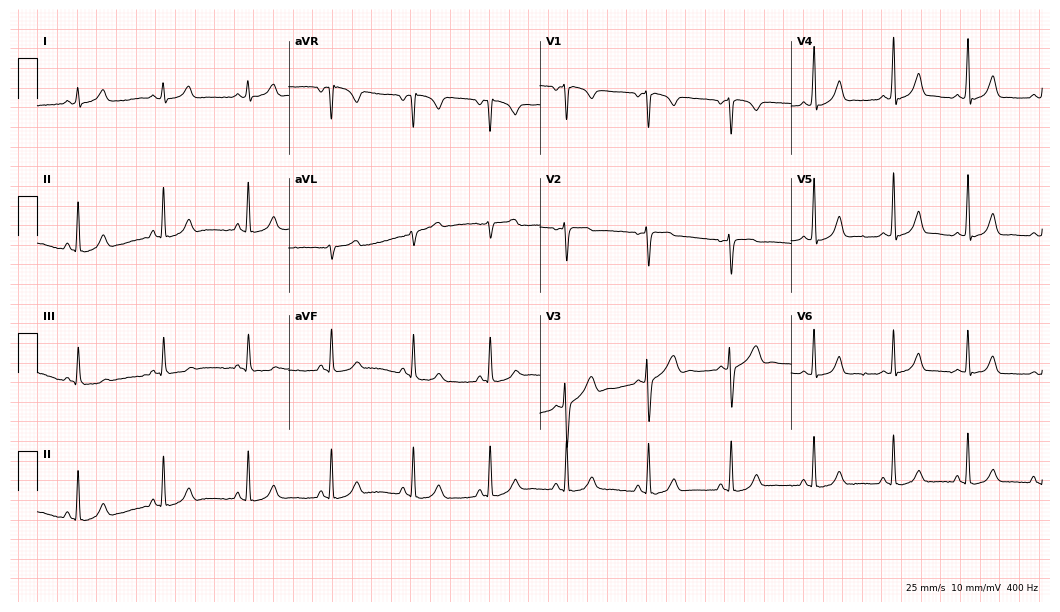
Resting 12-lead electrocardiogram. Patient: a female, 19 years old. Read as a normal ECG.